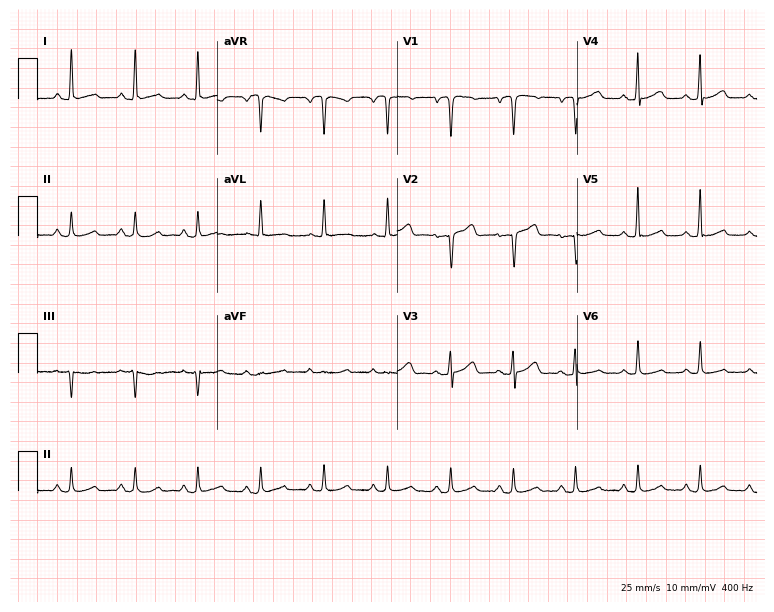
ECG — a woman, 60 years old. Labelled as a normal ECG.